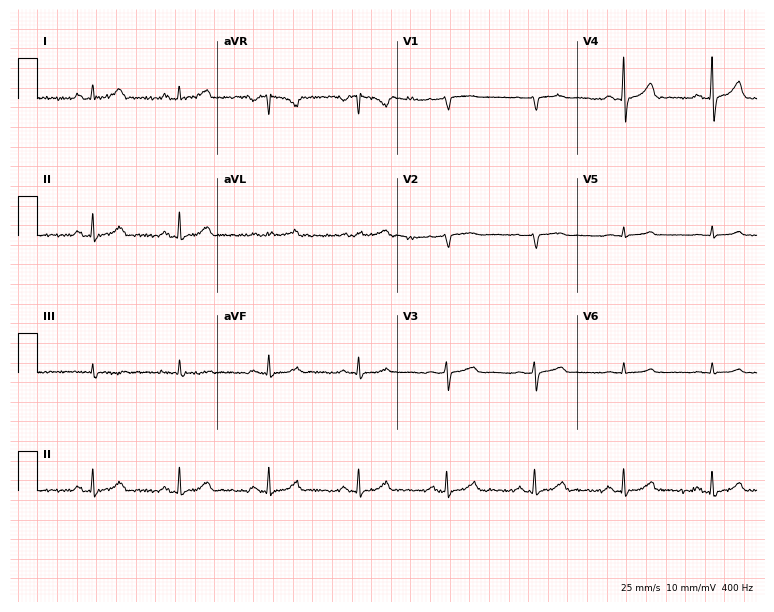
12-lead ECG from a woman, 43 years old (7.3-second recording at 400 Hz). Recorded interpretation: within normal limits.